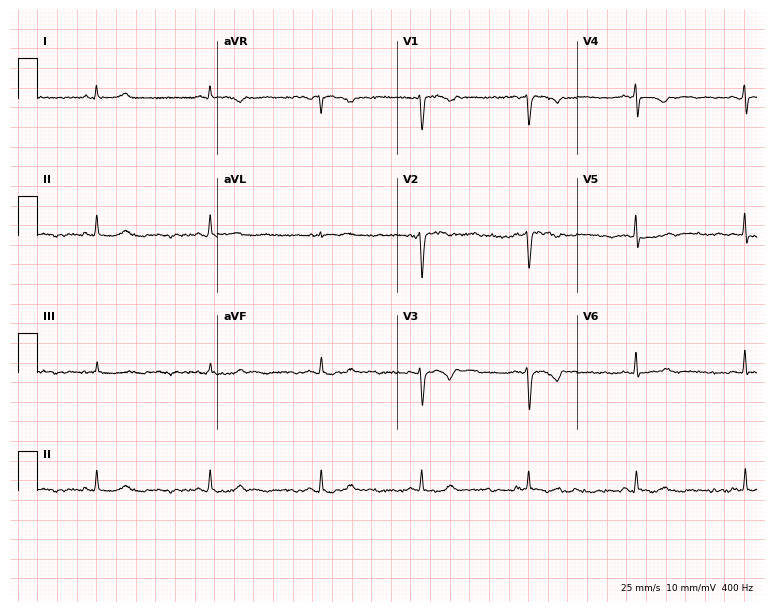
Electrocardiogram (7.3-second recording at 400 Hz), a 43-year-old woman. Of the six screened findings (first-degree AV block, right bundle branch block, left bundle branch block, sinus bradycardia, atrial fibrillation, sinus tachycardia), none is recorded.